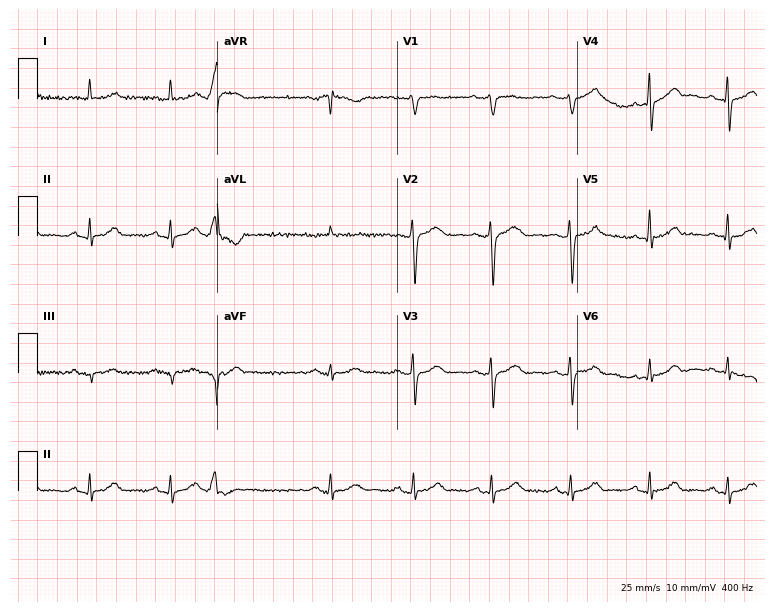
Resting 12-lead electrocardiogram. Patient: a 77-year-old male. None of these six findings is recorded: first-degree AV block, right bundle branch block, left bundle branch block, sinus bradycardia, atrial fibrillation, sinus tachycardia.